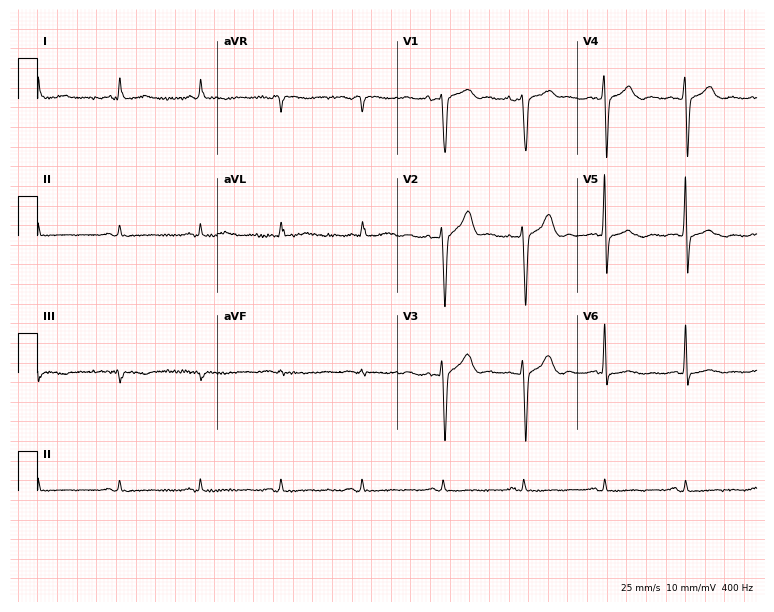
Standard 12-lead ECG recorded from an 83-year-old male. None of these six findings is recorded: first-degree AV block, right bundle branch block (RBBB), left bundle branch block (LBBB), sinus bradycardia, atrial fibrillation (AF), sinus tachycardia. Findings outside these six are not listed.